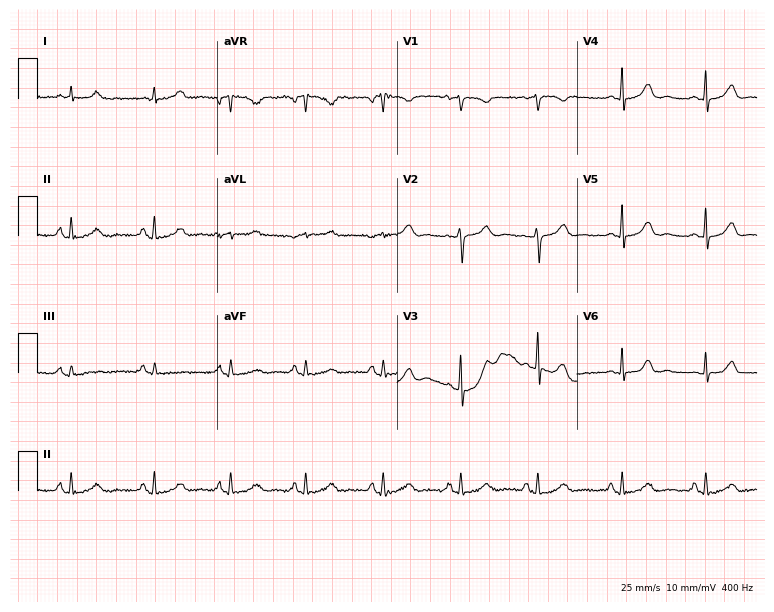
ECG (7.3-second recording at 400 Hz) — a female, 43 years old. Labelled as a normal ECG.